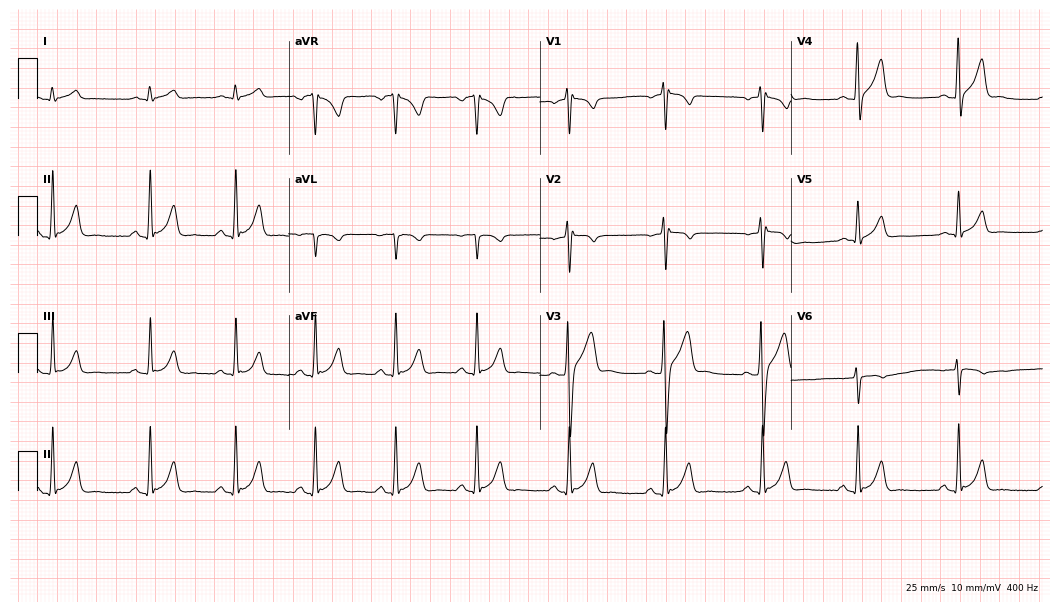
12-lead ECG from a man, 44 years old (10.2-second recording at 400 Hz). Recorded interpretation: within normal limits.